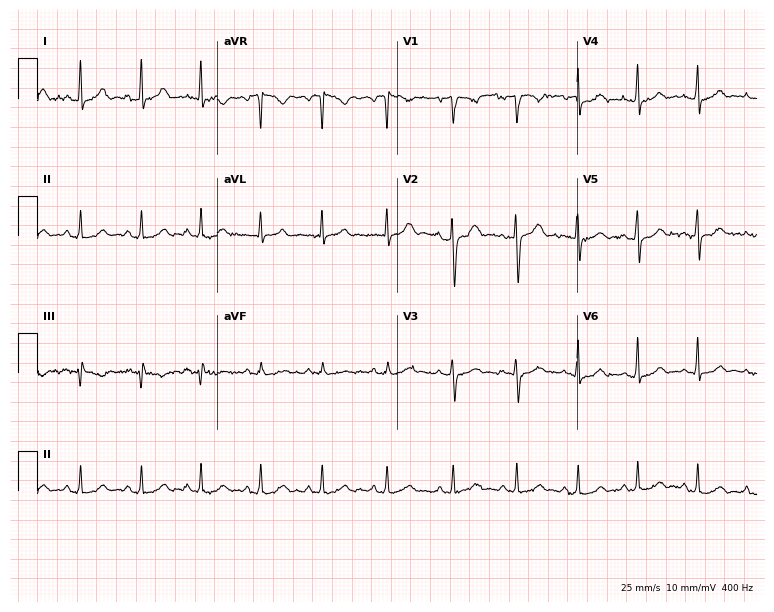
12-lead ECG from a female, 32 years old. Recorded interpretation: within normal limits.